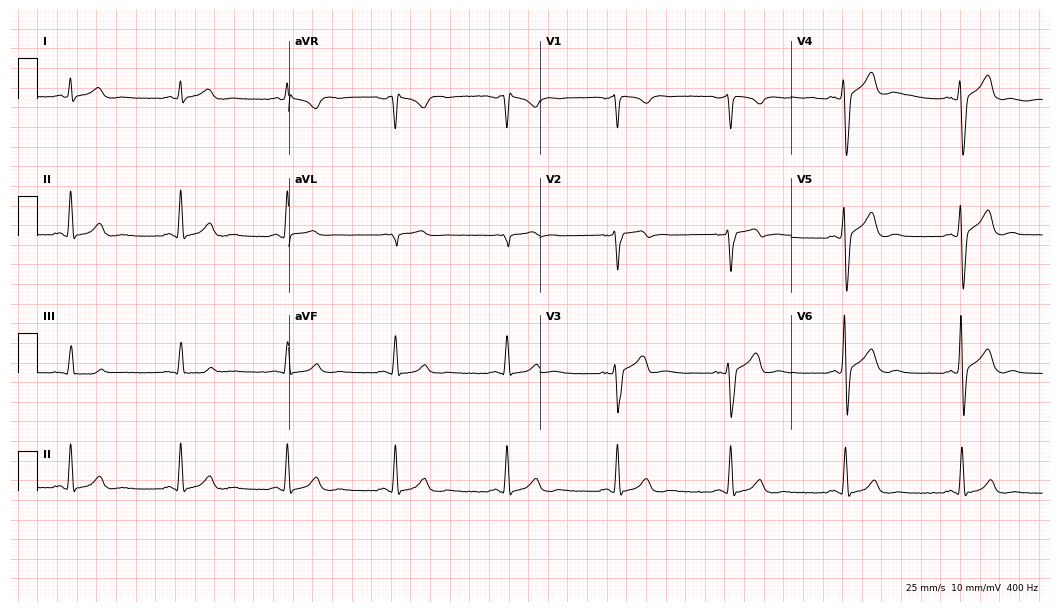
Resting 12-lead electrocardiogram. Patient: a 48-year-old man. None of these six findings is recorded: first-degree AV block, right bundle branch block (RBBB), left bundle branch block (LBBB), sinus bradycardia, atrial fibrillation (AF), sinus tachycardia.